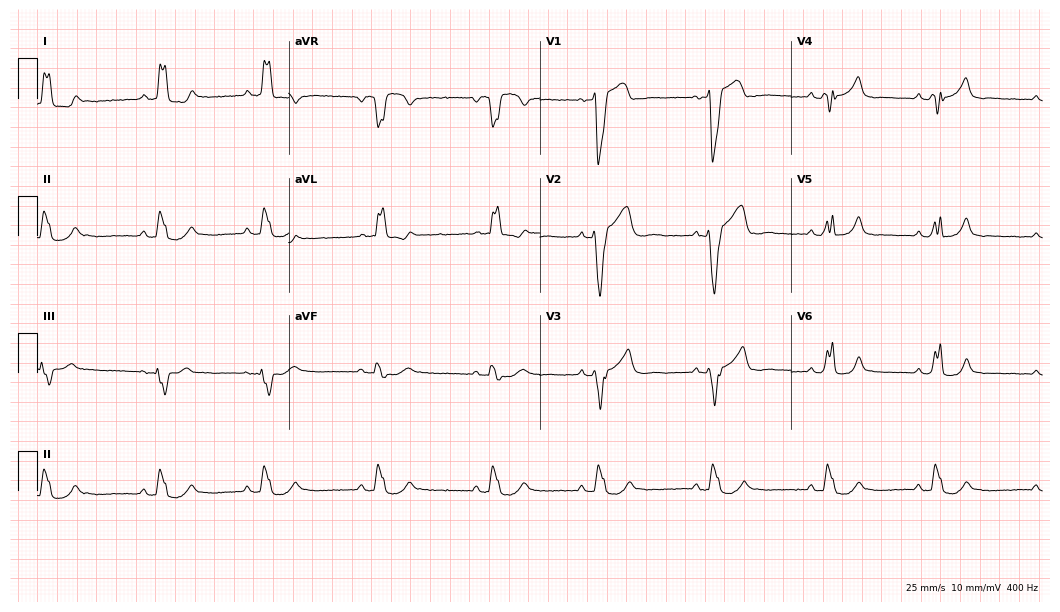
Standard 12-lead ECG recorded from a 59-year-old female patient (10.2-second recording at 400 Hz). The tracing shows left bundle branch block (LBBB).